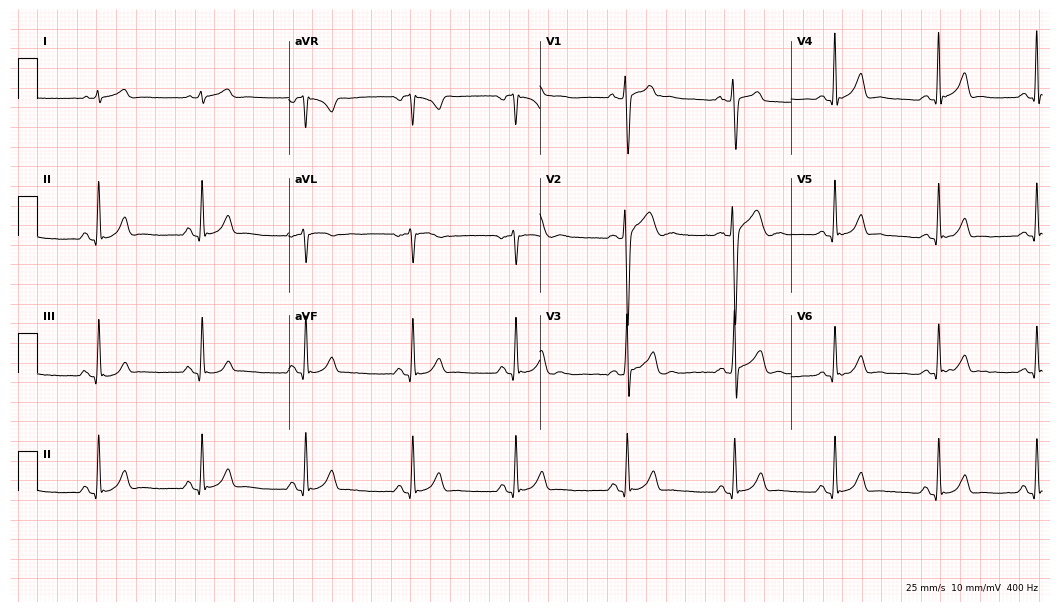
Resting 12-lead electrocardiogram (10.2-second recording at 400 Hz). Patient: a man, 33 years old. Read as a normal ECG.